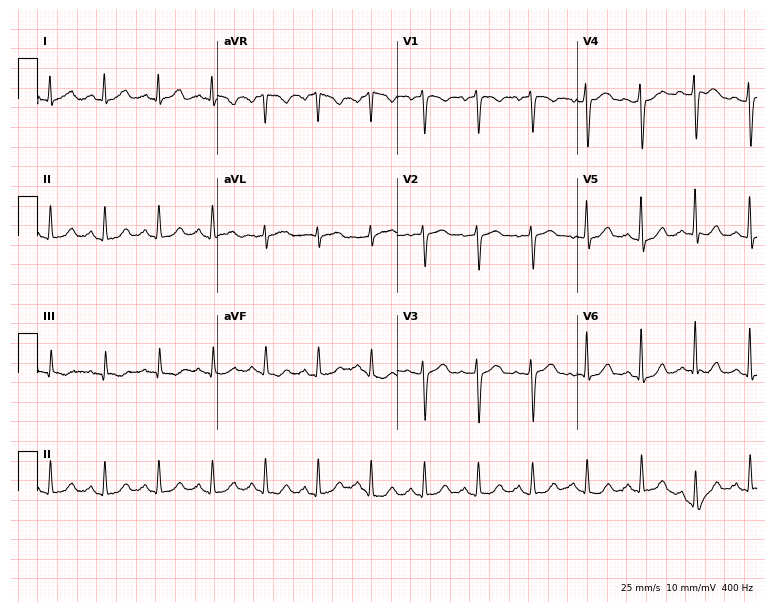
Resting 12-lead electrocardiogram. Patient: a 48-year-old female. The tracing shows sinus tachycardia (a sinus rate of 100 beats per minute or more).